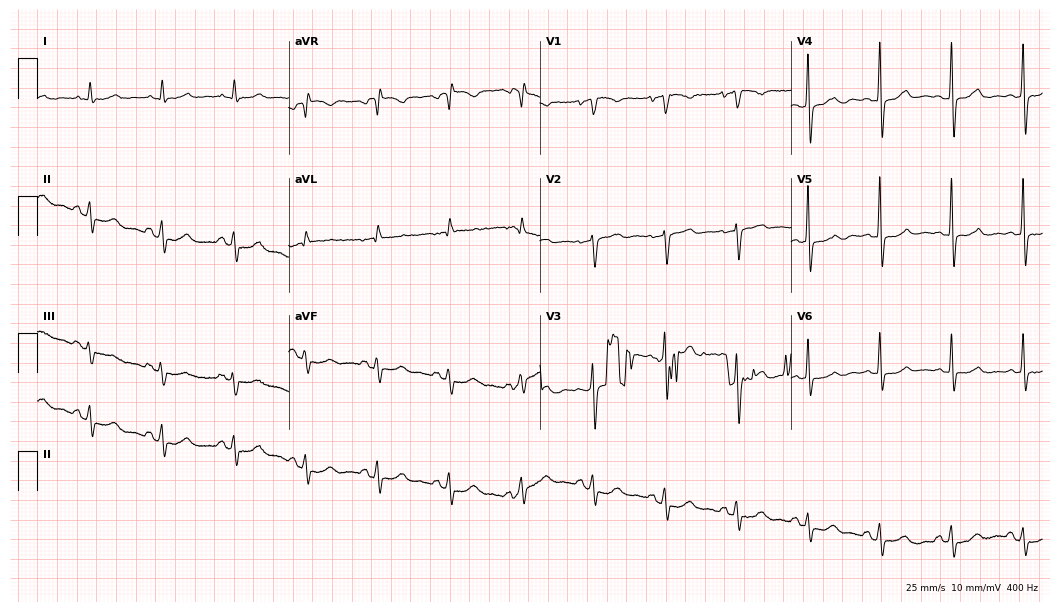
Resting 12-lead electrocardiogram (10.2-second recording at 400 Hz). Patient: a female, 74 years old. None of these six findings is recorded: first-degree AV block, right bundle branch block, left bundle branch block, sinus bradycardia, atrial fibrillation, sinus tachycardia.